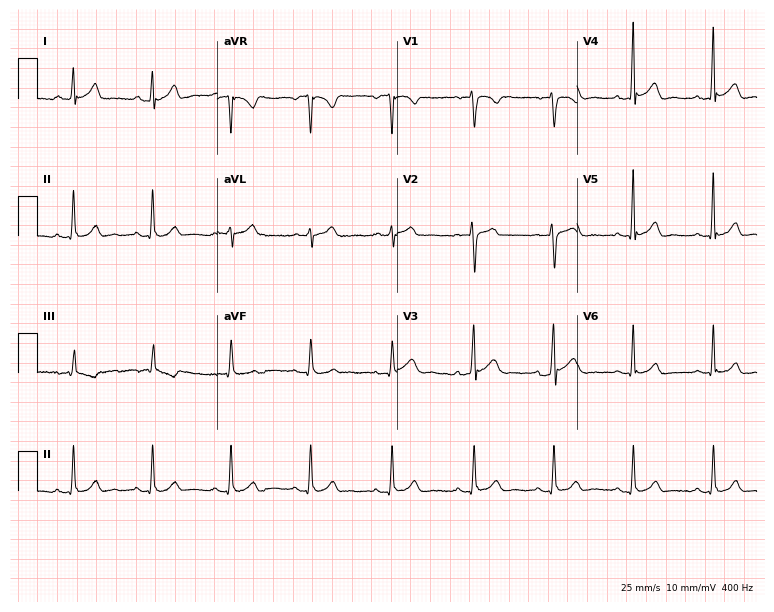
12-lead ECG (7.3-second recording at 400 Hz) from a man, 21 years old. Labelled as a normal ECG.